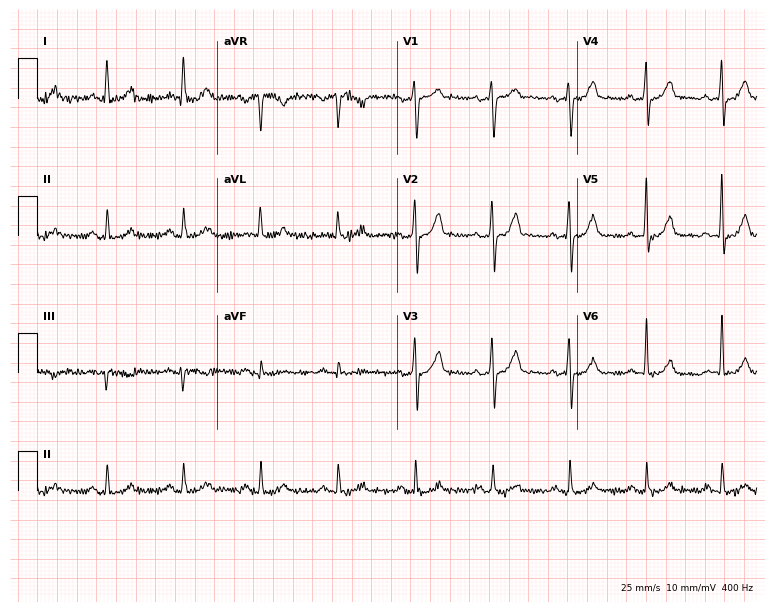
ECG — a male patient, 46 years old. Screened for six findings — first-degree AV block, right bundle branch block (RBBB), left bundle branch block (LBBB), sinus bradycardia, atrial fibrillation (AF), sinus tachycardia — none is recorded. Findings outside these six are not listed.